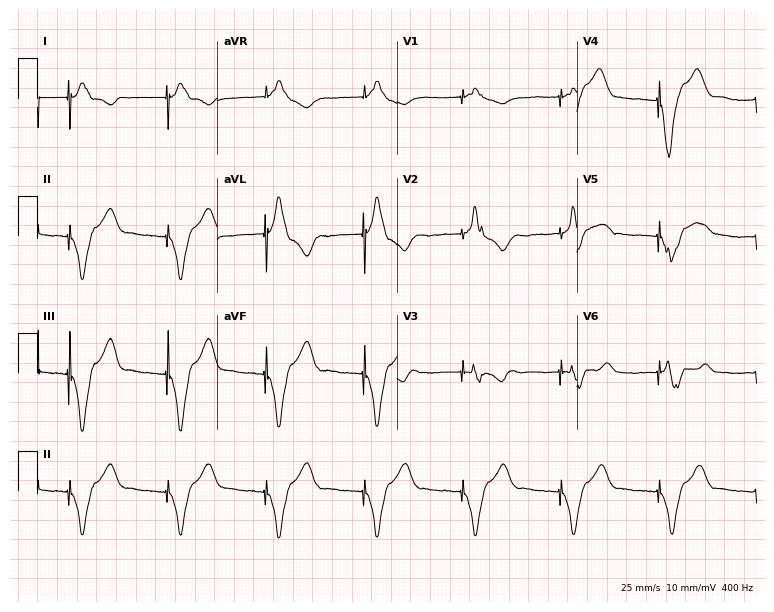
12-lead ECG from a 59-year-old woman. Screened for six findings — first-degree AV block, right bundle branch block (RBBB), left bundle branch block (LBBB), sinus bradycardia, atrial fibrillation (AF), sinus tachycardia — none is recorded. Only these six findings were labelled.